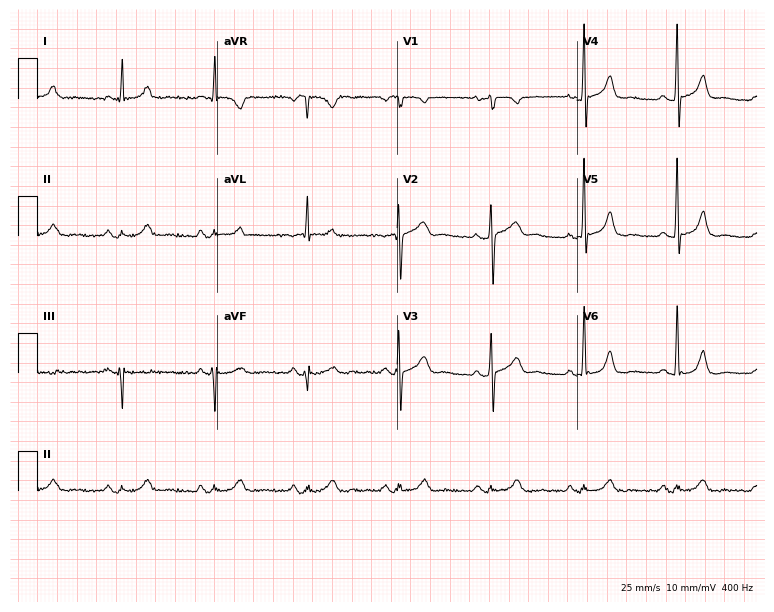
Standard 12-lead ECG recorded from a 73-year-old male (7.3-second recording at 400 Hz). None of these six findings is recorded: first-degree AV block, right bundle branch block, left bundle branch block, sinus bradycardia, atrial fibrillation, sinus tachycardia.